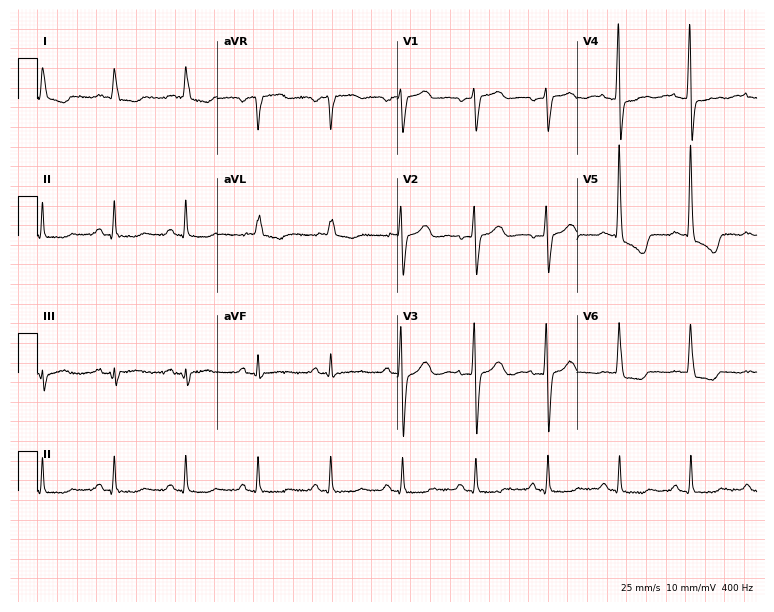
12-lead ECG from a woman, 78 years old (7.3-second recording at 400 Hz). No first-degree AV block, right bundle branch block, left bundle branch block, sinus bradycardia, atrial fibrillation or sinus tachycardia recorded for this tracing.